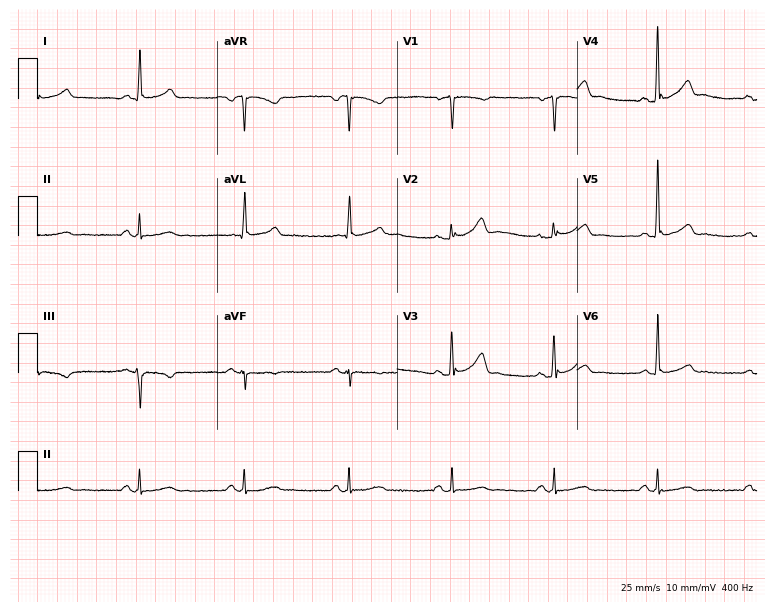
12-lead ECG from a 59-year-old man (7.3-second recording at 400 Hz). Recorded interpretation: within normal limits.